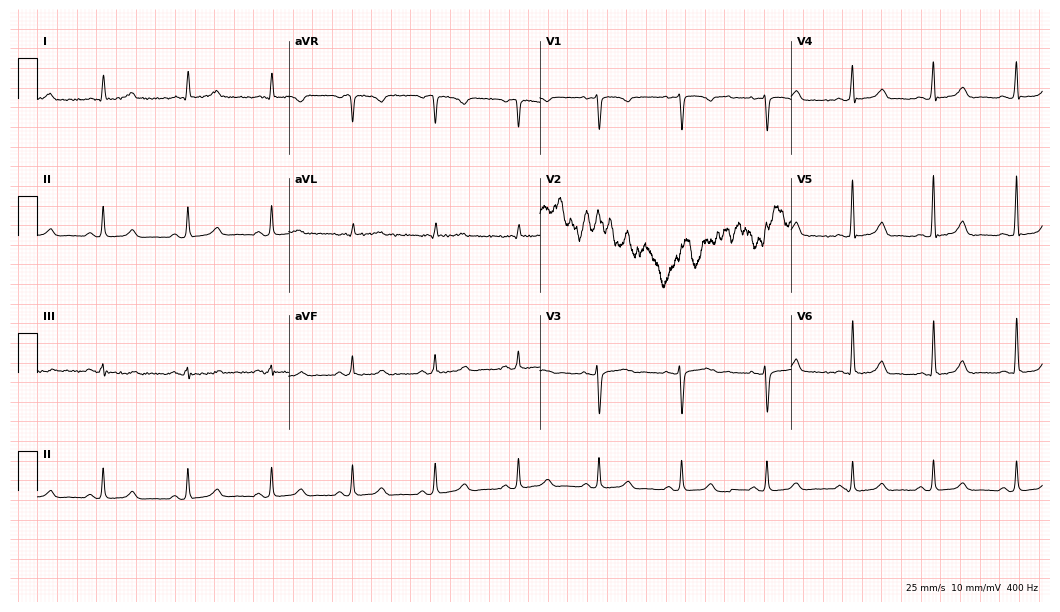
12-lead ECG from a female patient, 46 years old (10.2-second recording at 400 Hz). No first-degree AV block, right bundle branch block, left bundle branch block, sinus bradycardia, atrial fibrillation or sinus tachycardia recorded for this tracing.